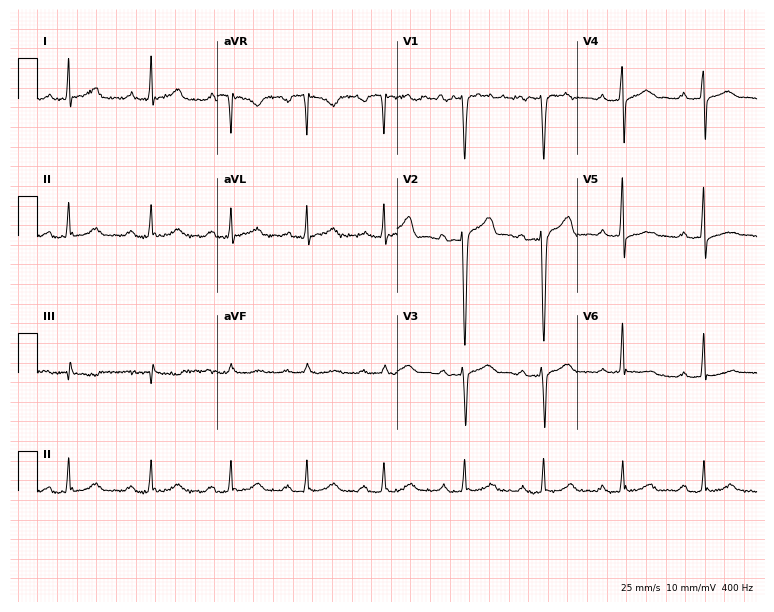
12-lead ECG (7.3-second recording at 400 Hz) from a 36-year-old male patient. Findings include first-degree AV block.